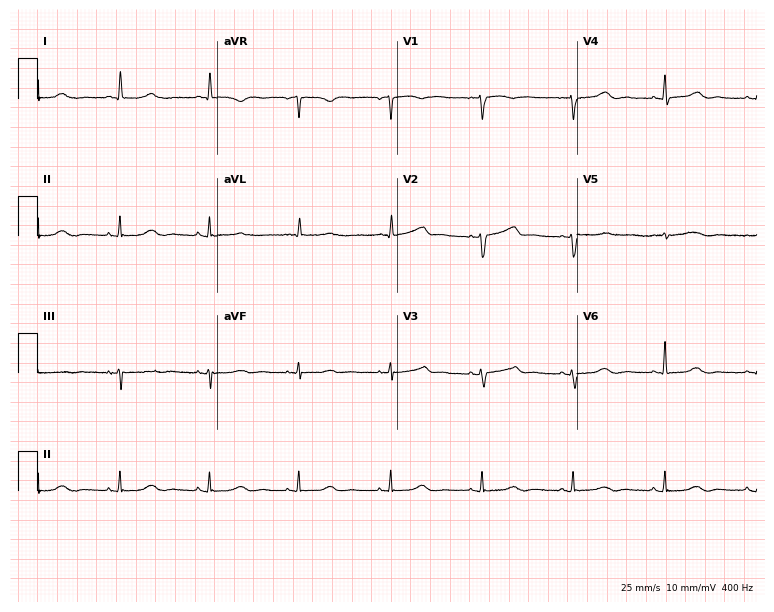
12-lead ECG from a female, 71 years old. Labelled as a normal ECG.